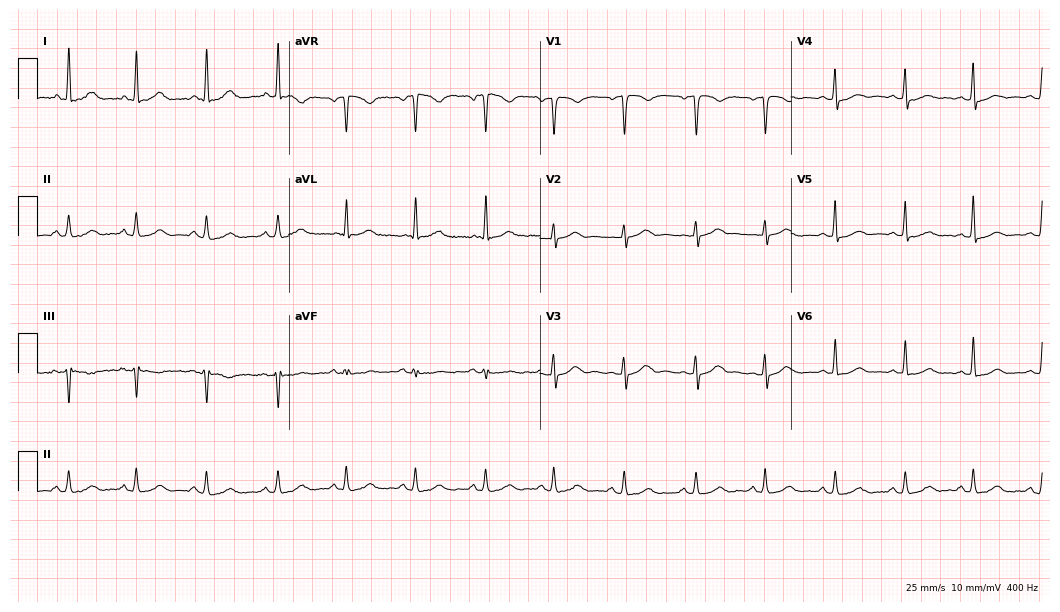
ECG (10.2-second recording at 400 Hz) — a 46-year-old female patient. Labelled as a normal ECG.